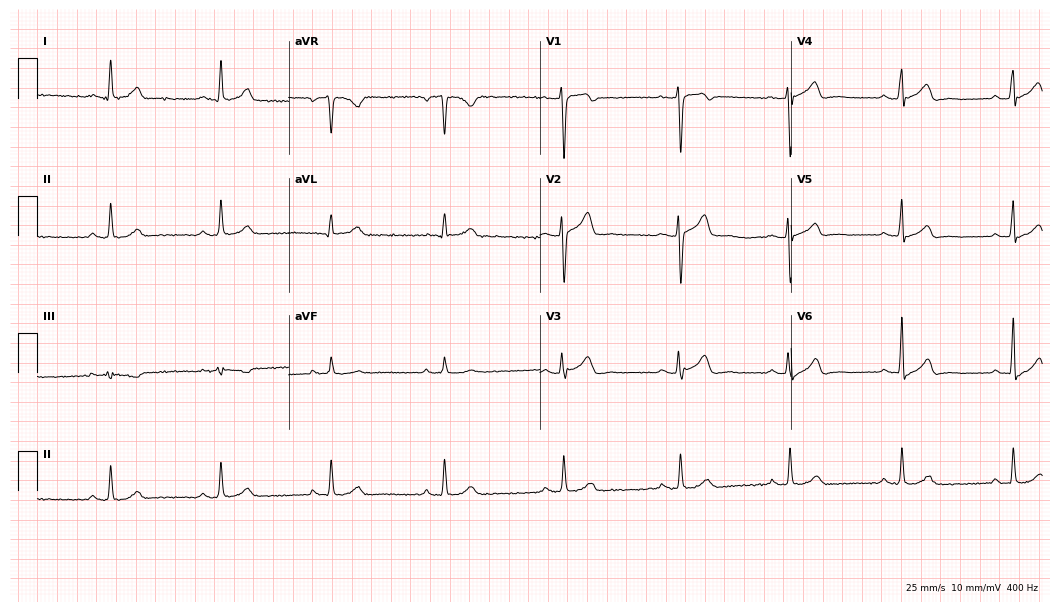
12-lead ECG from a male patient, 49 years old (10.2-second recording at 400 Hz). Recorded interpretation: within normal limits.